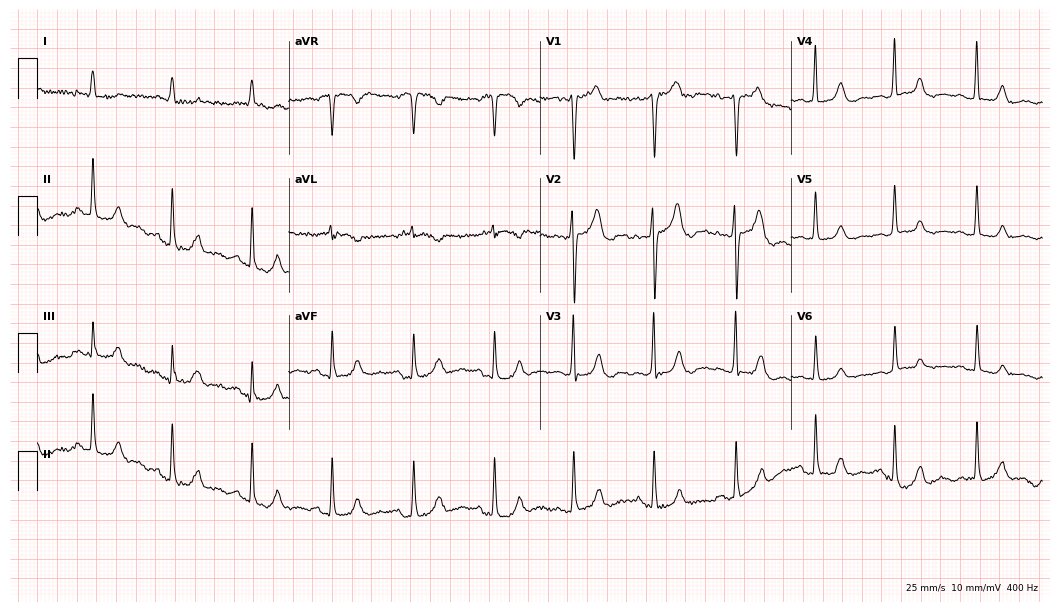
12-lead ECG from a female, 78 years old (10.2-second recording at 400 Hz). Recorded interpretation: within normal limits.